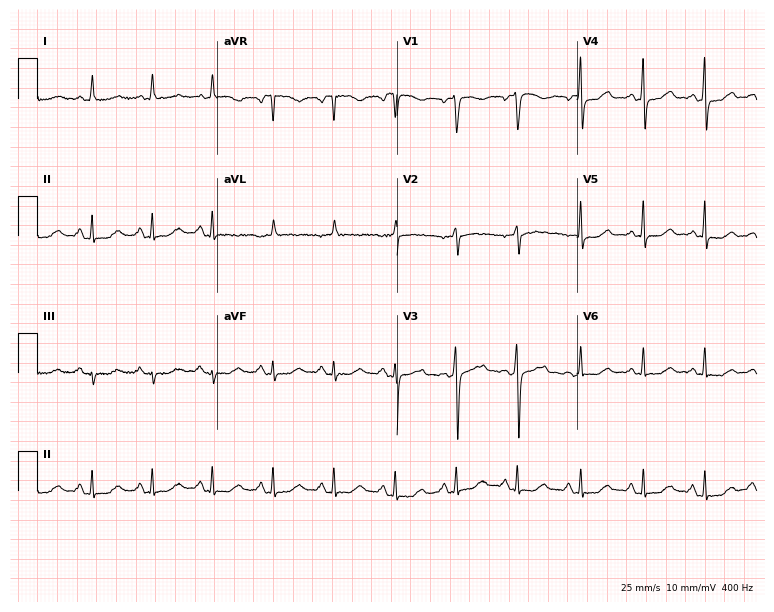
Standard 12-lead ECG recorded from a 57-year-old female (7.3-second recording at 400 Hz). None of these six findings is recorded: first-degree AV block, right bundle branch block (RBBB), left bundle branch block (LBBB), sinus bradycardia, atrial fibrillation (AF), sinus tachycardia. Only these six findings were labelled.